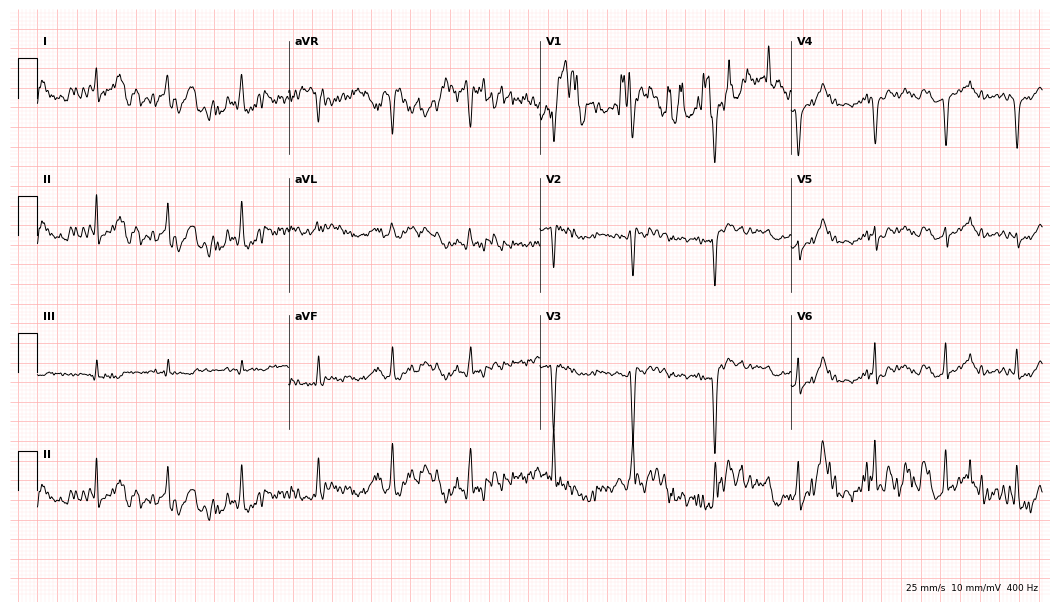
12-lead ECG from a 23-year-old female. Screened for six findings — first-degree AV block, right bundle branch block (RBBB), left bundle branch block (LBBB), sinus bradycardia, atrial fibrillation (AF), sinus tachycardia — none is recorded.